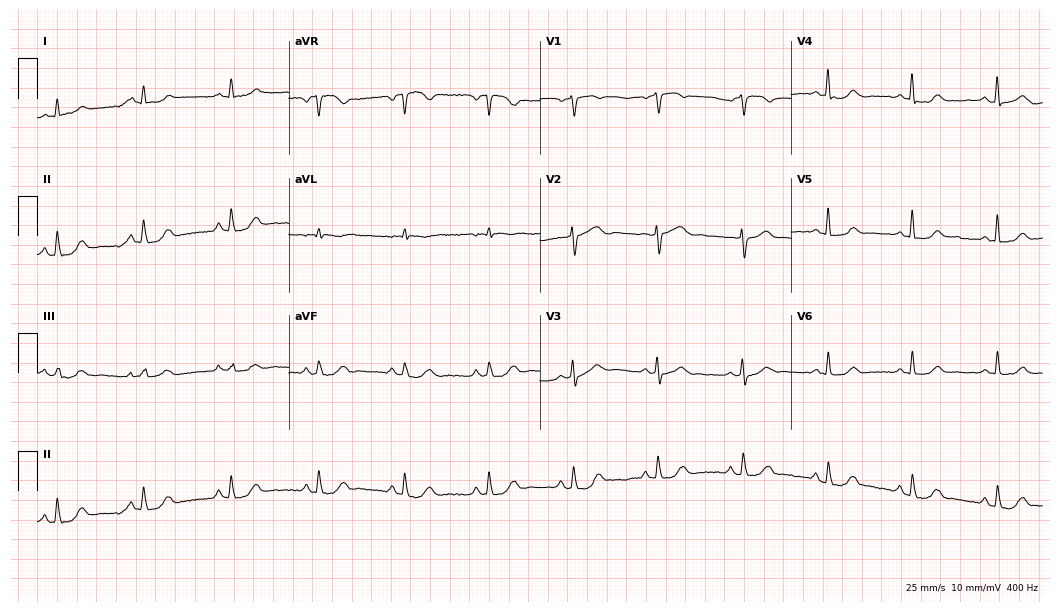
Electrocardiogram (10.2-second recording at 400 Hz), a woman, 74 years old. Overall reading on record: normal ECG.